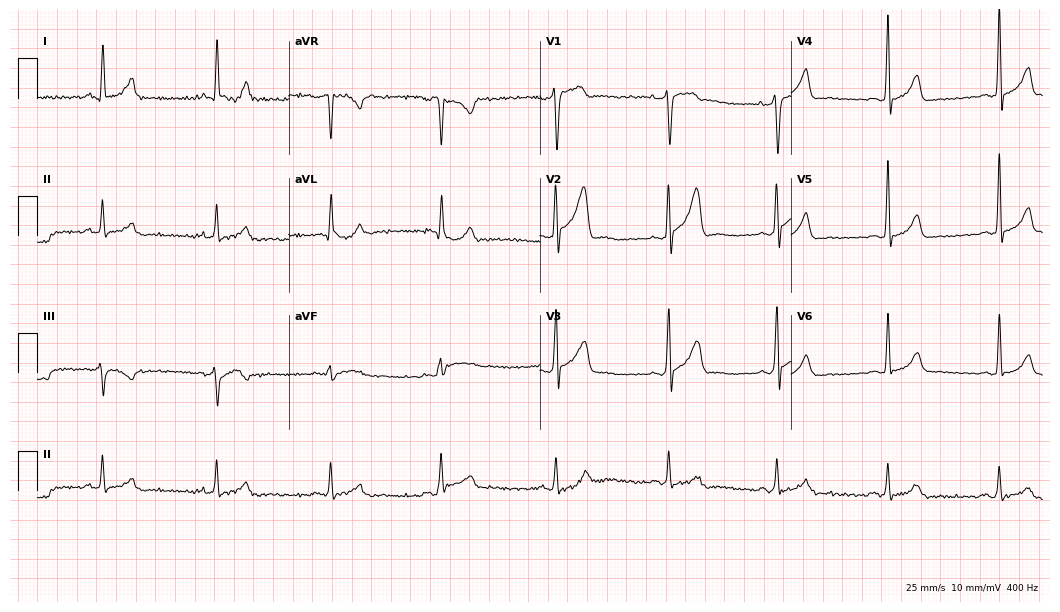
12-lead ECG from a 34-year-old male patient. Recorded interpretation: within normal limits.